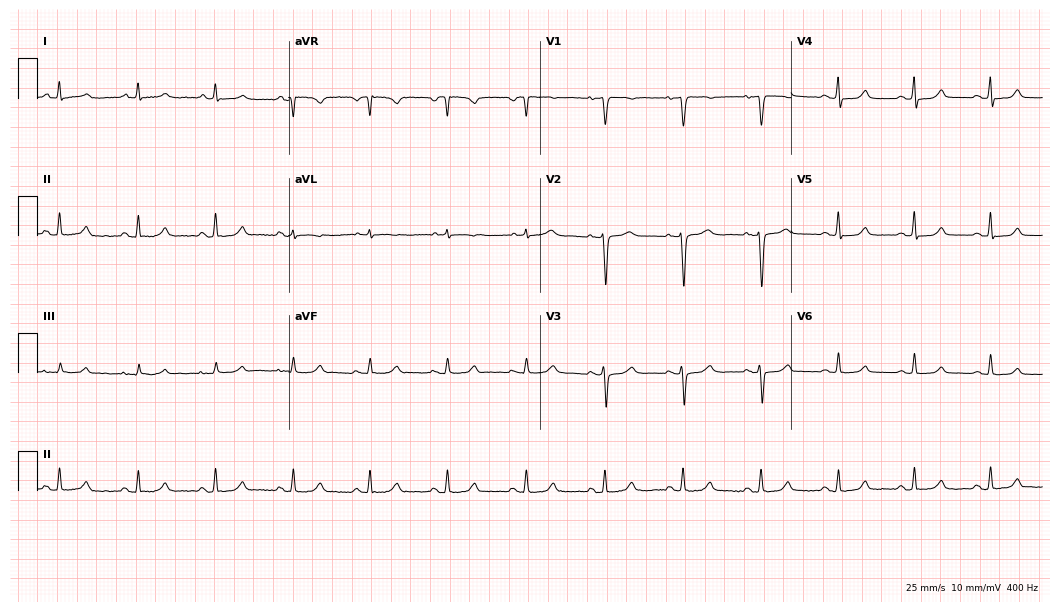
12-lead ECG from a woman, 53 years old (10.2-second recording at 400 Hz). No first-degree AV block, right bundle branch block (RBBB), left bundle branch block (LBBB), sinus bradycardia, atrial fibrillation (AF) or sinus tachycardia recorded for this tracing. Findings outside these six are not listed.